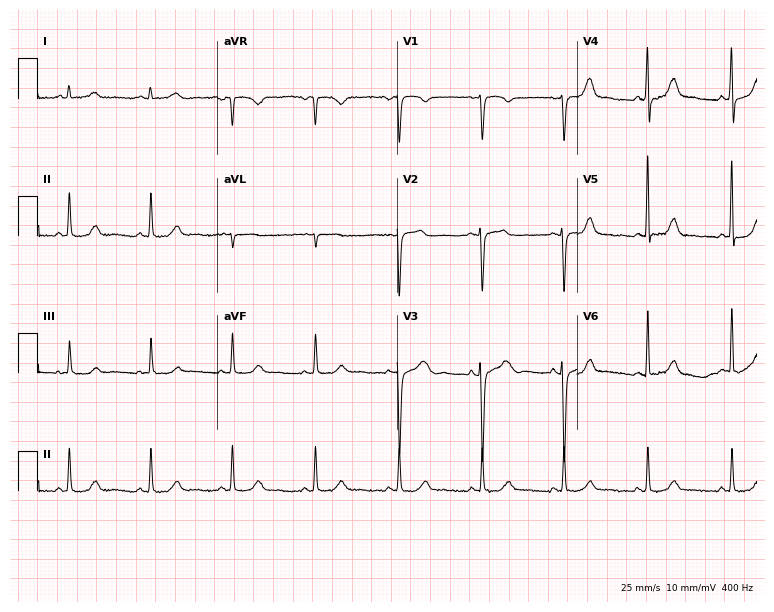
12-lead ECG from a 42-year-old woman (7.3-second recording at 400 Hz). Recorded interpretation: within normal limits.